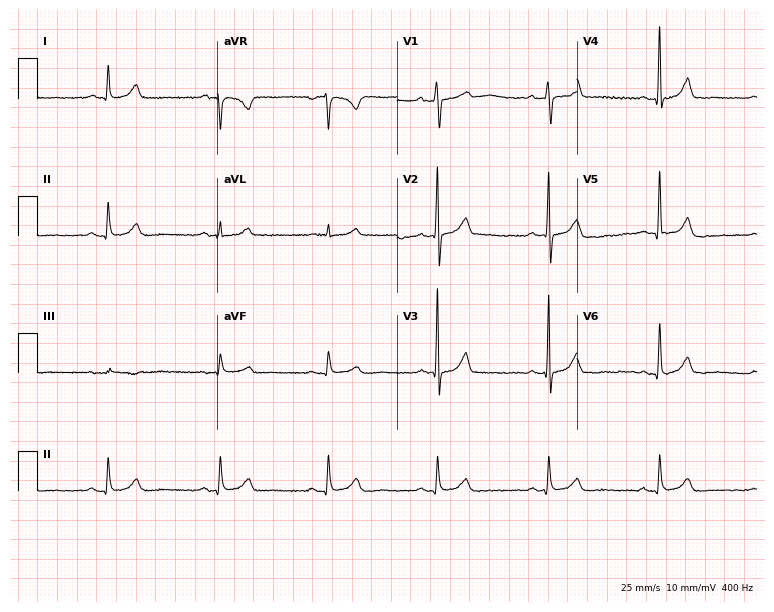
12-lead ECG from a male patient, 54 years old. Recorded interpretation: within normal limits.